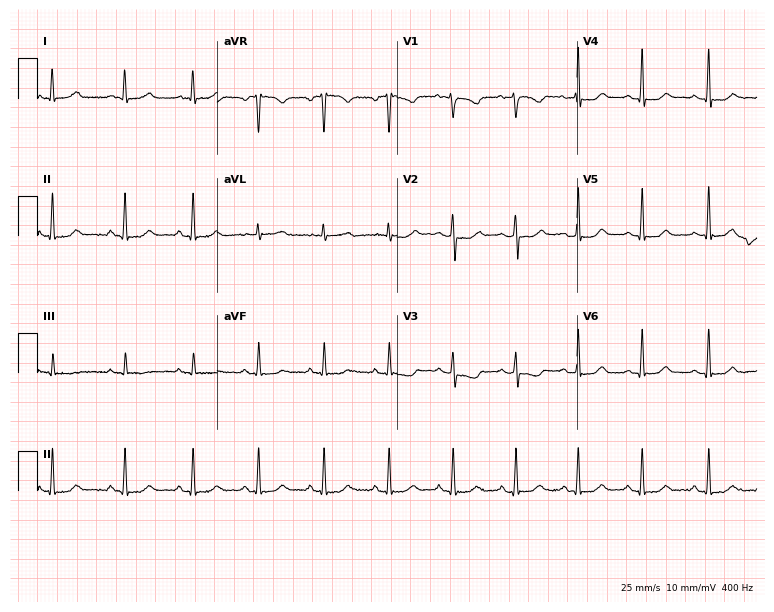
12-lead ECG from a female, 32 years old. No first-degree AV block, right bundle branch block, left bundle branch block, sinus bradycardia, atrial fibrillation or sinus tachycardia recorded for this tracing.